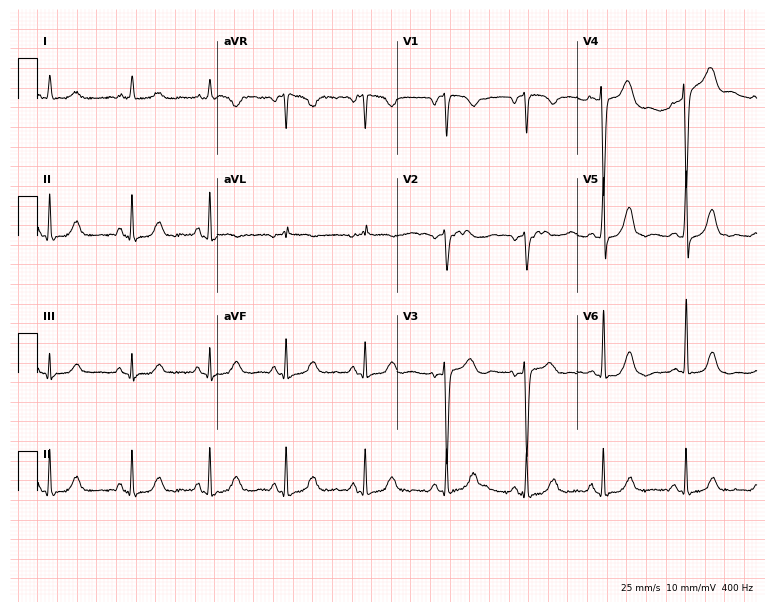
Resting 12-lead electrocardiogram. Patient: a female, 84 years old. Read as a normal ECG.